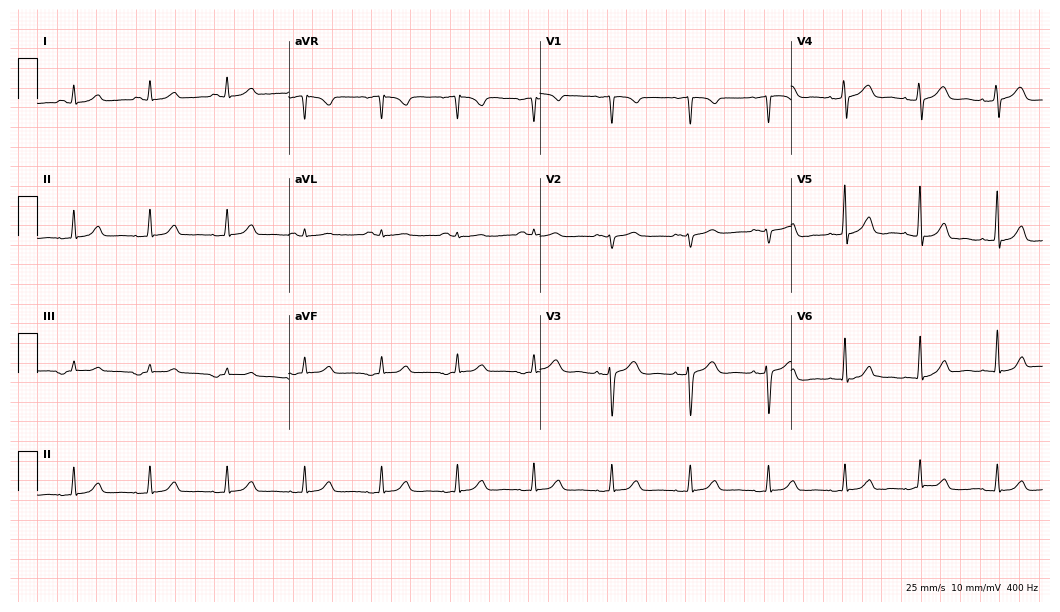
12-lead ECG from a 54-year-old woman (10.2-second recording at 400 Hz). Recorded interpretation: within normal limits.